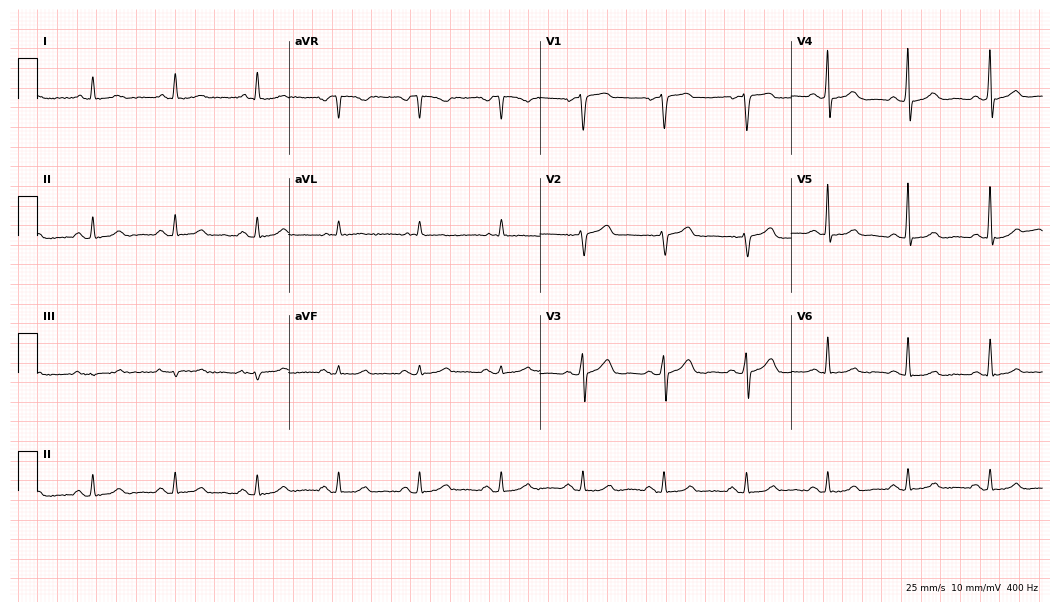
Standard 12-lead ECG recorded from a man, 72 years old (10.2-second recording at 400 Hz). Read as a normal ECG.